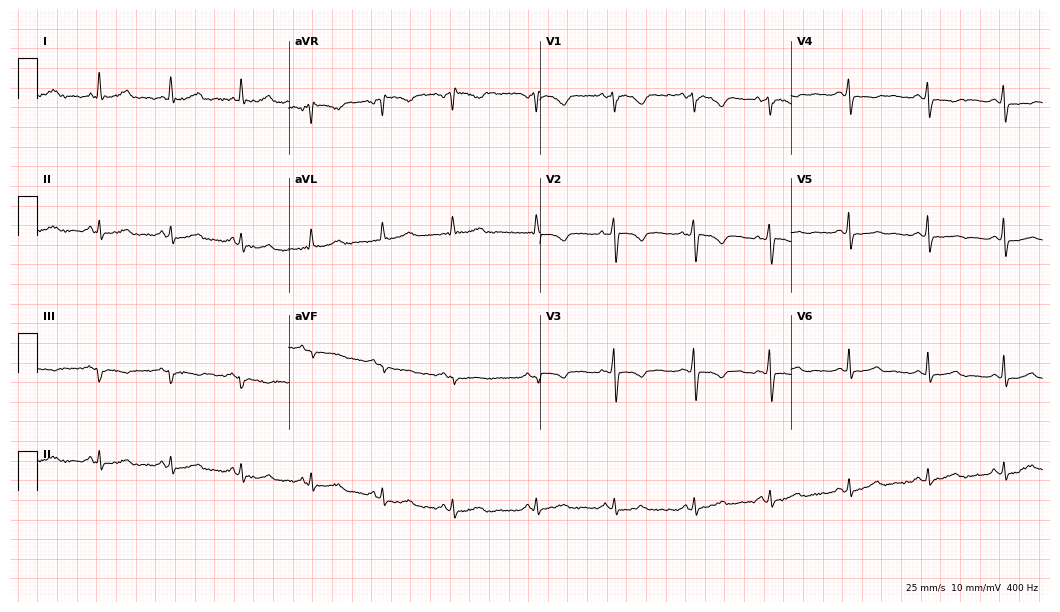
12-lead ECG from a female, 60 years old. Recorded interpretation: within normal limits.